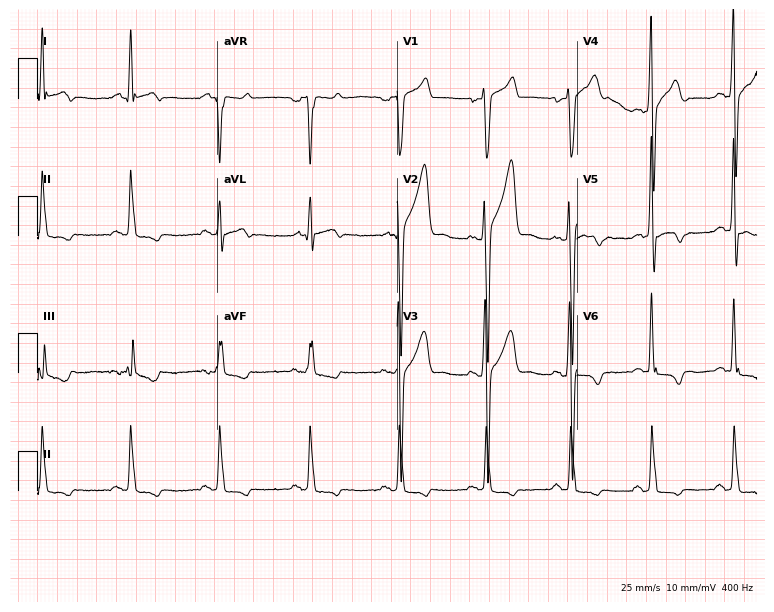
Standard 12-lead ECG recorded from a man, 37 years old. None of these six findings is recorded: first-degree AV block, right bundle branch block, left bundle branch block, sinus bradycardia, atrial fibrillation, sinus tachycardia.